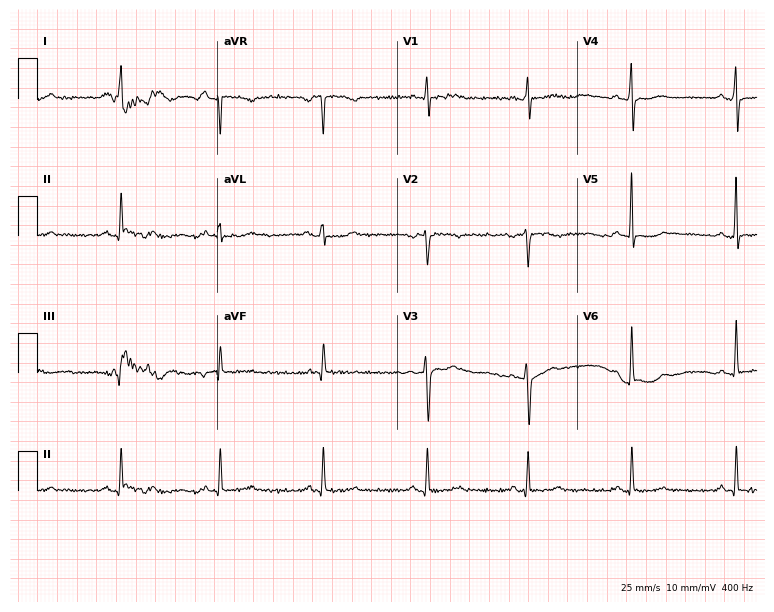
12-lead ECG from a female, 64 years old. Recorded interpretation: within normal limits.